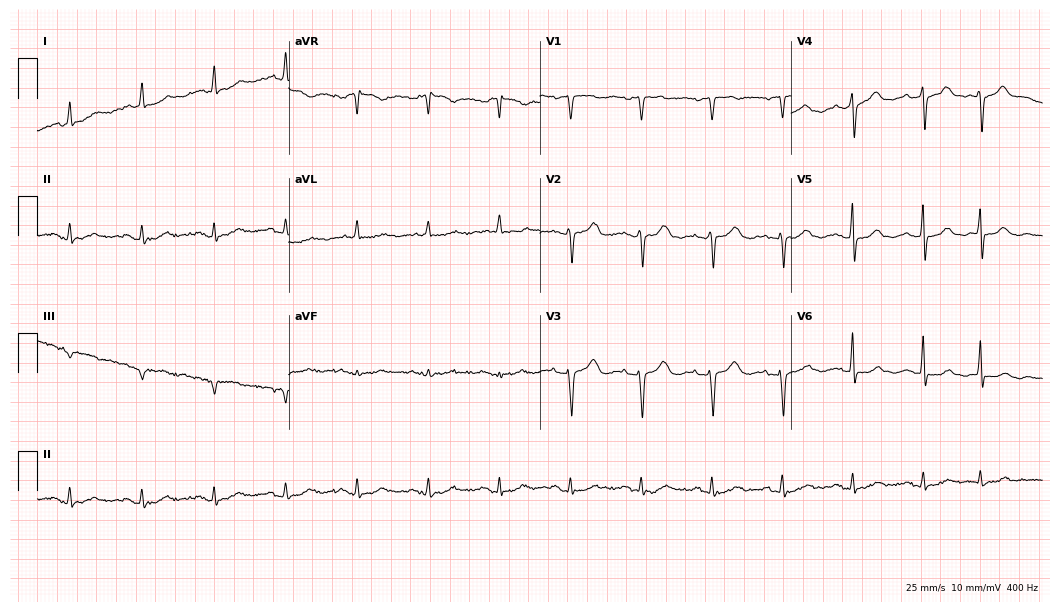
Standard 12-lead ECG recorded from an 81-year-old female patient (10.2-second recording at 400 Hz). Read as a normal ECG.